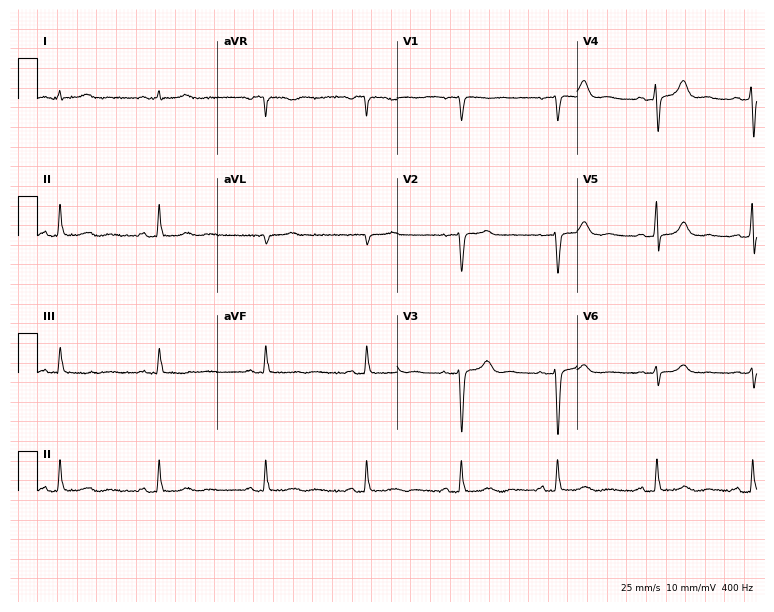
12-lead ECG from a woman, 23 years old (7.3-second recording at 400 Hz). Recorded interpretation: within normal limits.